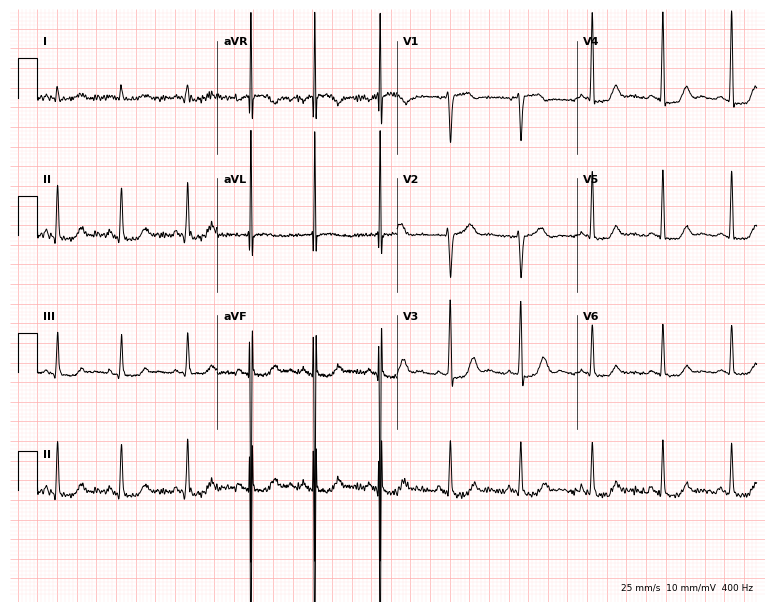
ECG — a 43-year-old female. Screened for six findings — first-degree AV block, right bundle branch block, left bundle branch block, sinus bradycardia, atrial fibrillation, sinus tachycardia — none is recorded. Only these six findings were labelled.